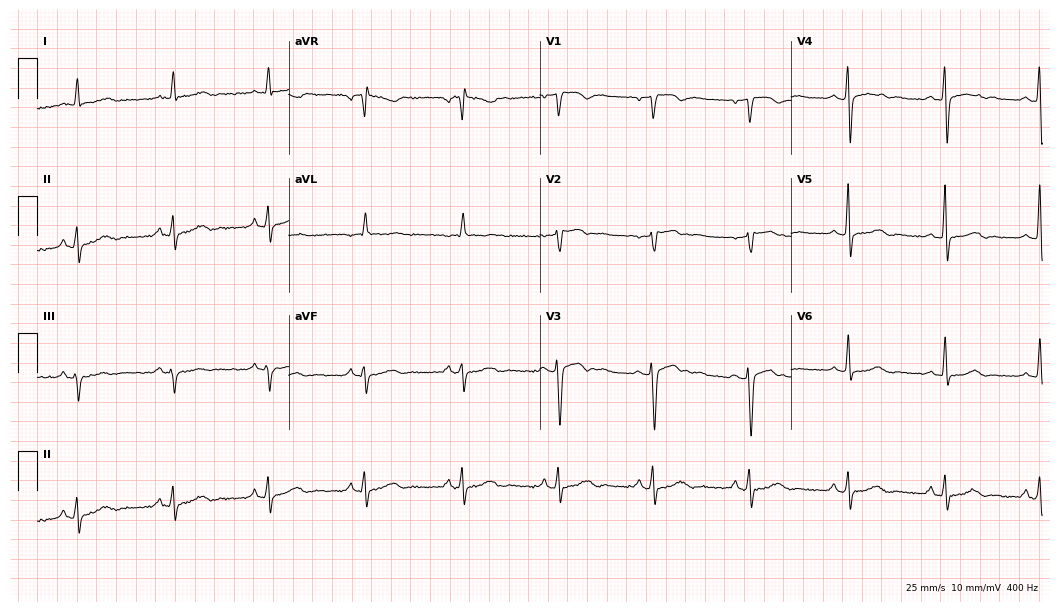
12-lead ECG from a female patient, 61 years old. Recorded interpretation: within normal limits.